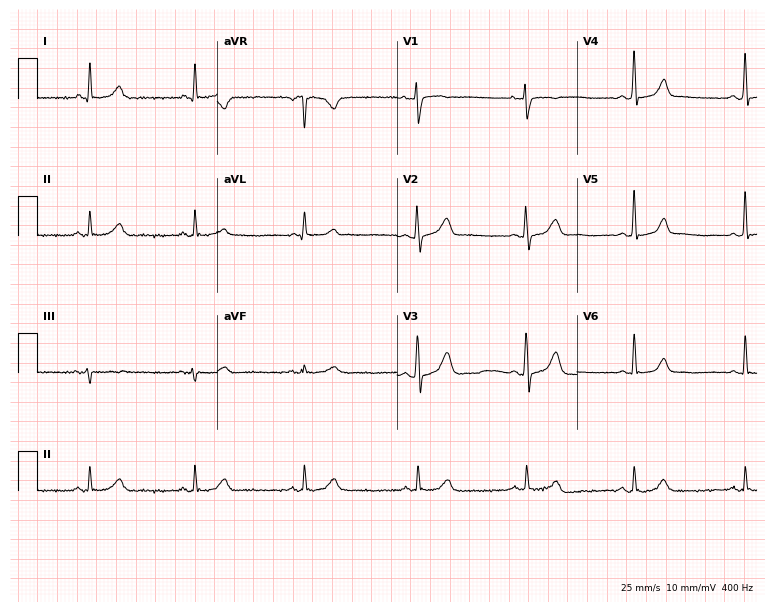
12-lead ECG (7.3-second recording at 400 Hz) from a female patient, 40 years old. Labelled as a normal ECG.